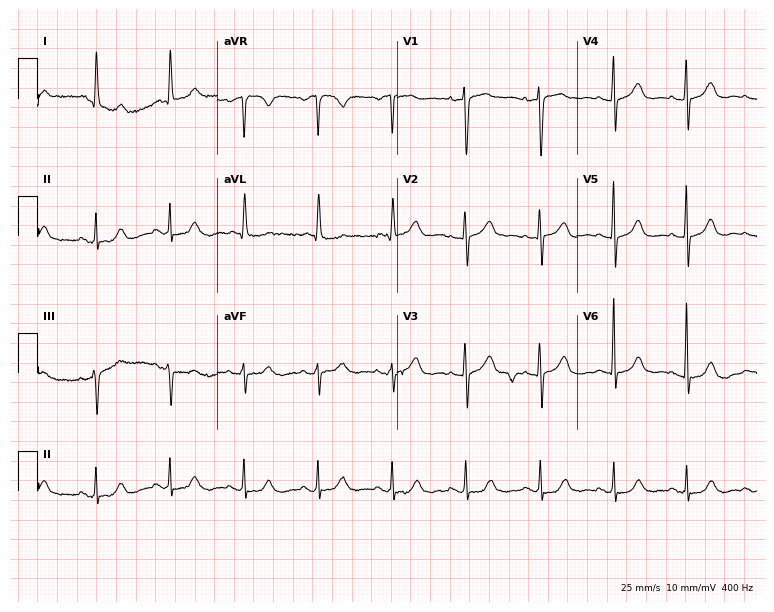
Standard 12-lead ECG recorded from a female, 79 years old (7.3-second recording at 400 Hz). None of these six findings is recorded: first-degree AV block, right bundle branch block, left bundle branch block, sinus bradycardia, atrial fibrillation, sinus tachycardia. Other findings, if any, are not listed.